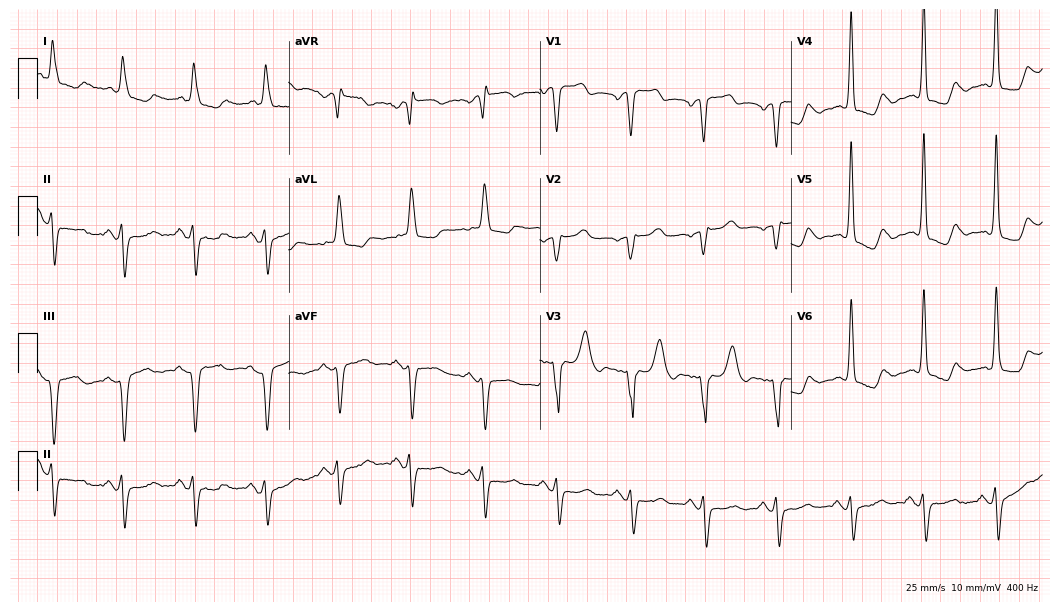
Electrocardiogram (10.2-second recording at 400 Hz), a 72-year-old man. Of the six screened findings (first-degree AV block, right bundle branch block, left bundle branch block, sinus bradycardia, atrial fibrillation, sinus tachycardia), none is recorded. Findings outside these six are not listed.